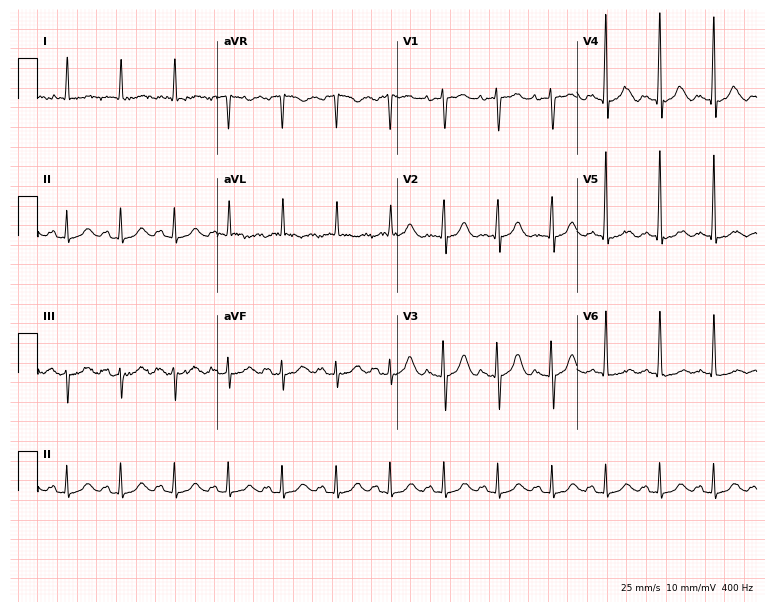
12-lead ECG from a woman, 84 years old. Shows sinus tachycardia (a sinus rate of 100 beats per minute or more).